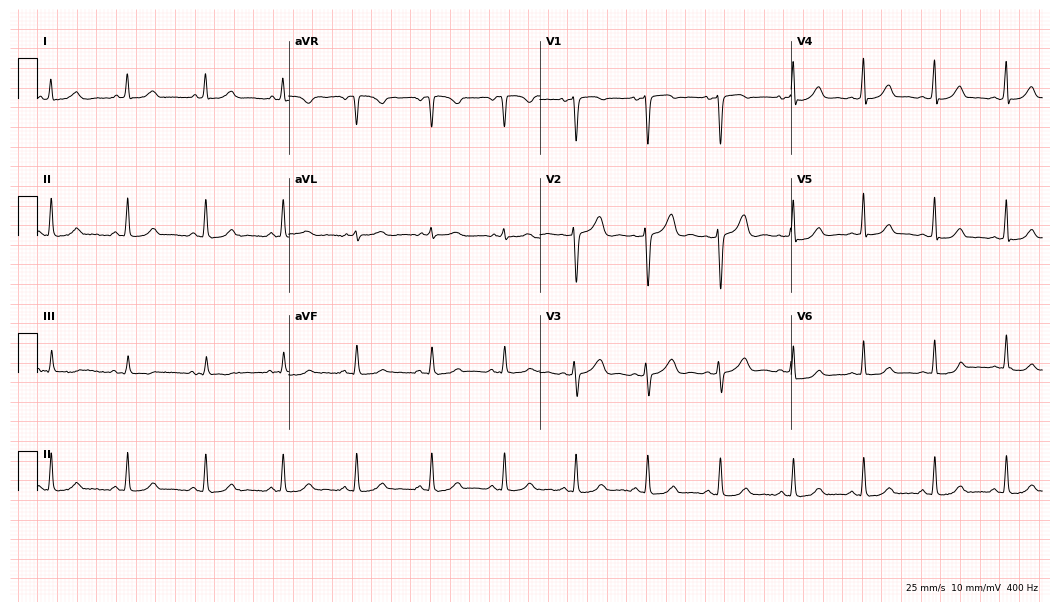
Electrocardiogram (10.2-second recording at 400 Hz), a 42-year-old female. Overall reading on record: normal ECG.